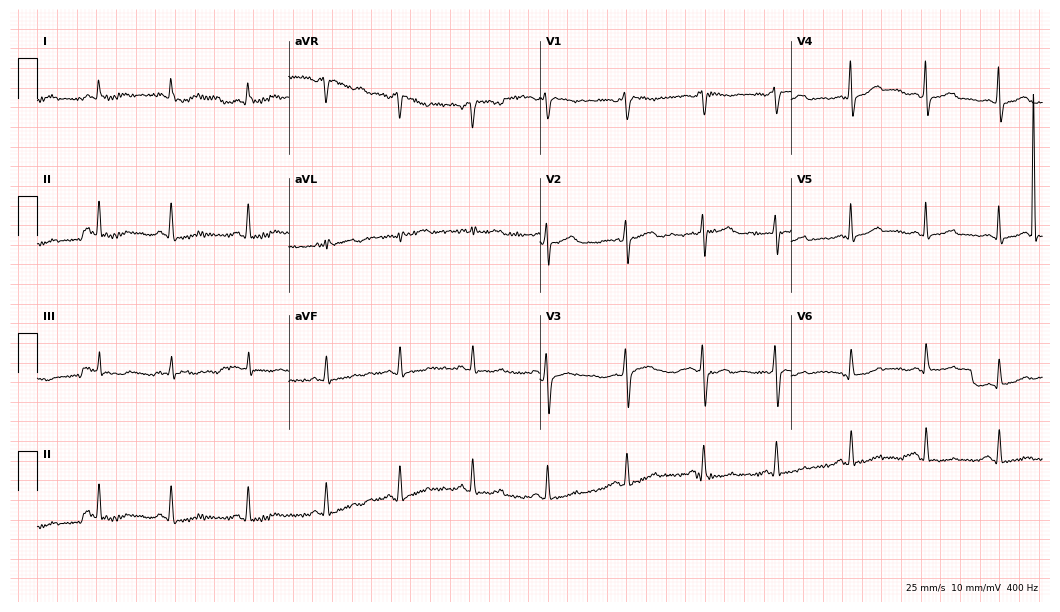
ECG — a 29-year-old female patient. Screened for six findings — first-degree AV block, right bundle branch block (RBBB), left bundle branch block (LBBB), sinus bradycardia, atrial fibrillation (AF), sinus tachycardia — none is recorded. Other findings, if any, are not listed.